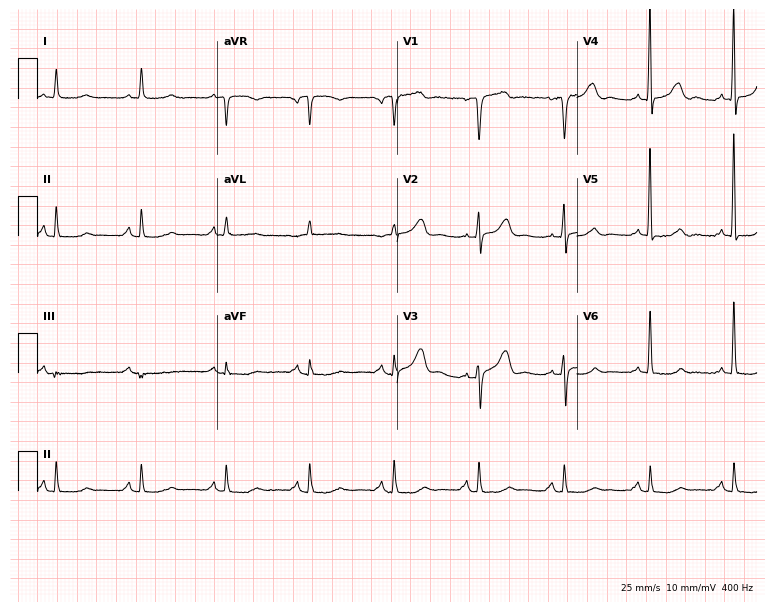
12-lead ECG from a 78-year-old man. Recorded interpretation: within normal limits.